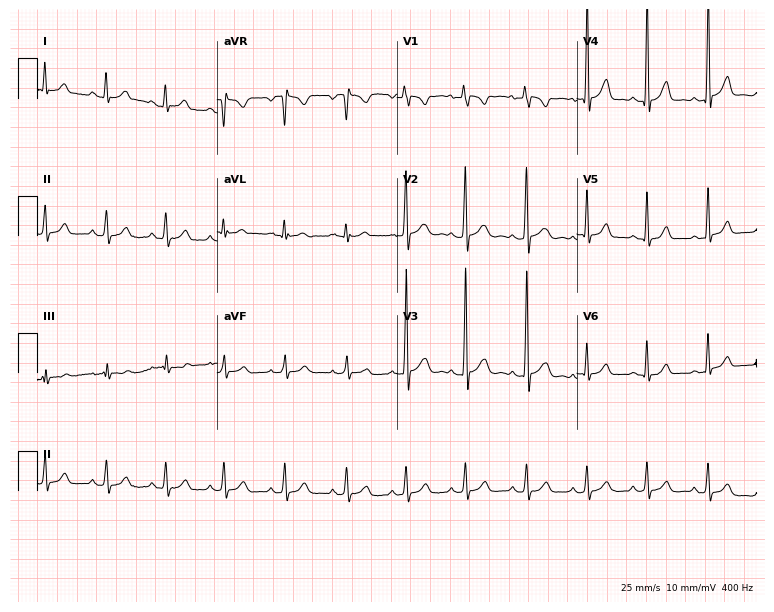
ECG — a 62-year-old female patient. Screened for six findings — first-degree AV block, right bundle branch block (RBBB), left bundle branch block (LBBB), sinus bradycardia, atrial fibrillation (AF), sinus tachycardia — none is recorded.